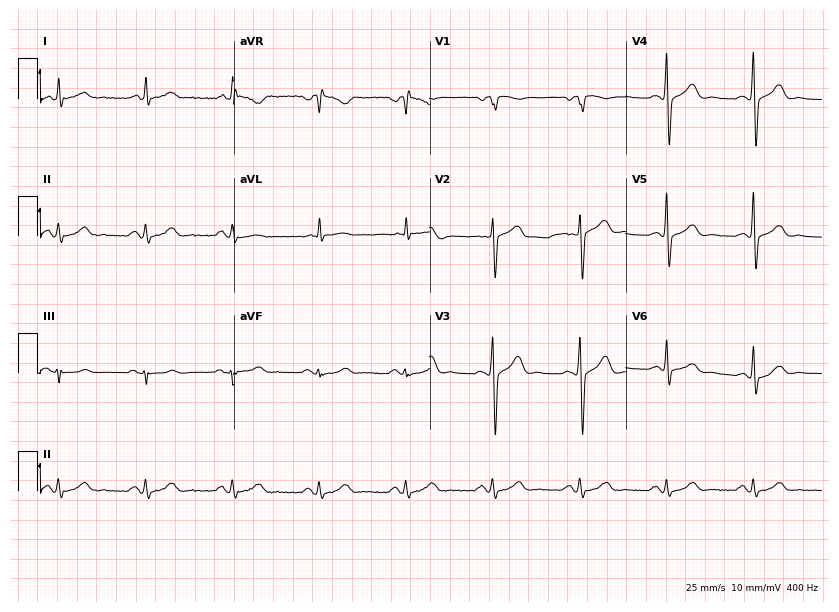
Electrocardiogram (8-second recording at 400 Hz), a 60-year-old male. Overall reading on record: normal ECG.